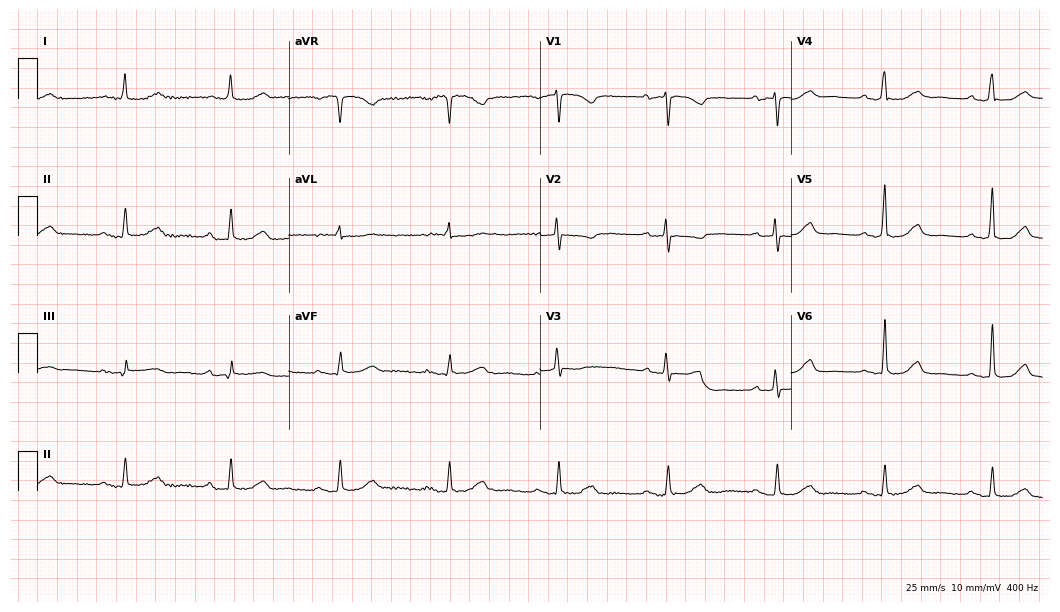
ECG — a woman, 61 years old. Screened for six findings — first-degree AV block, right bundle branch block (RBBB), left bundle branch block (LBBB), sinus bradycardia, atrial fibrillation (AF), sinus tachycardia — none is recorded. Findings outside these six are not listed.